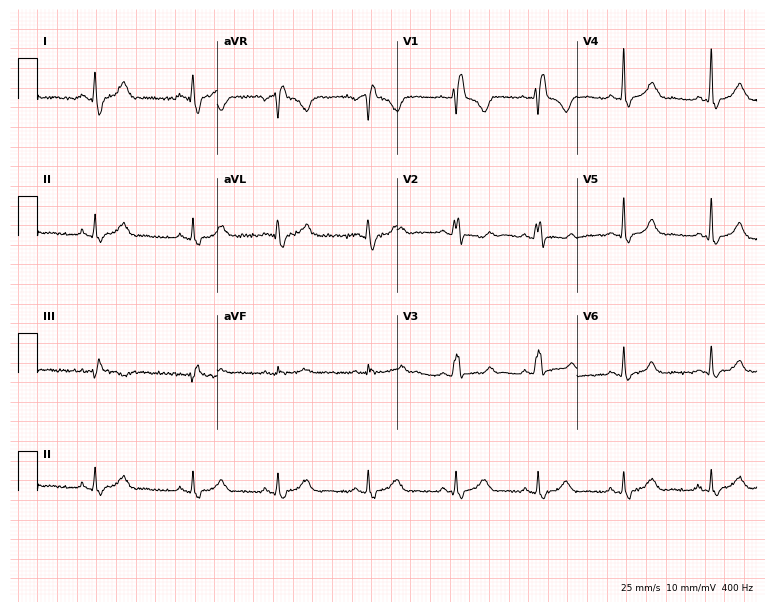
Resting 12-lead electrocardiogram. Patient: a 33-year-old female. The tracing shows right bundle branch block.